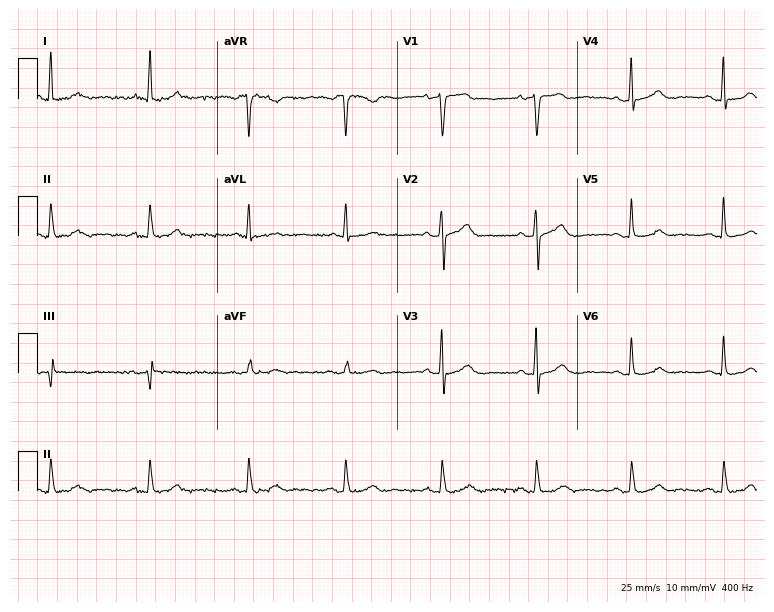
12-lead ECG from a 66-year-old man. Labelled as a normal ECG.